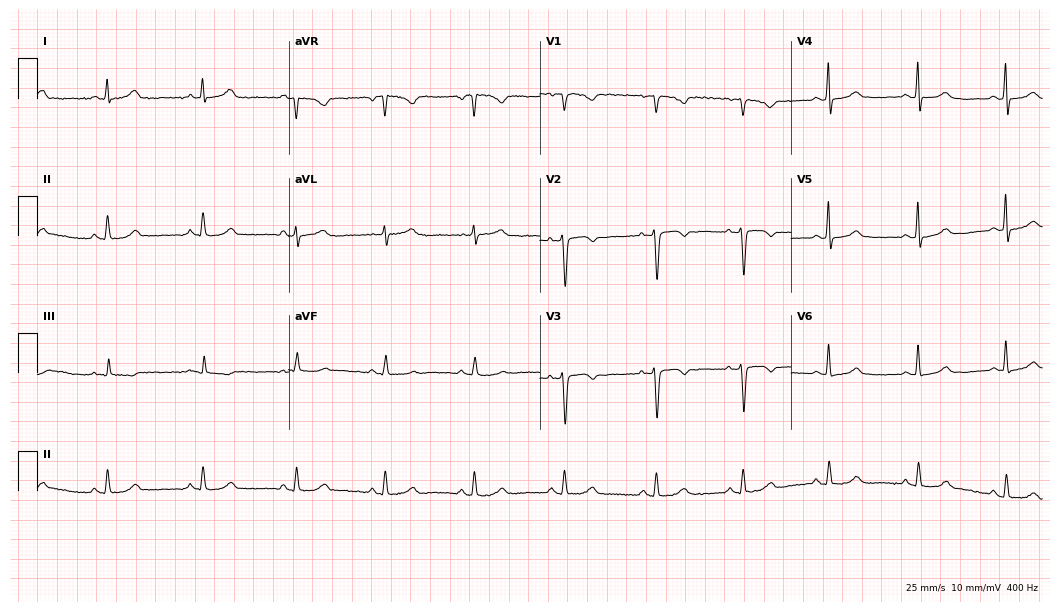
Electrocardiogram, a 43-year-old female patient. Of the six screened findings (first-degree AV block, right bundle branch block (RBBB), left bundle branch block (LBBB), sinus bradycardia, atrial fibrillation (AF), sinus tachycardia), none is recorded. Findings outside these six are not listed.